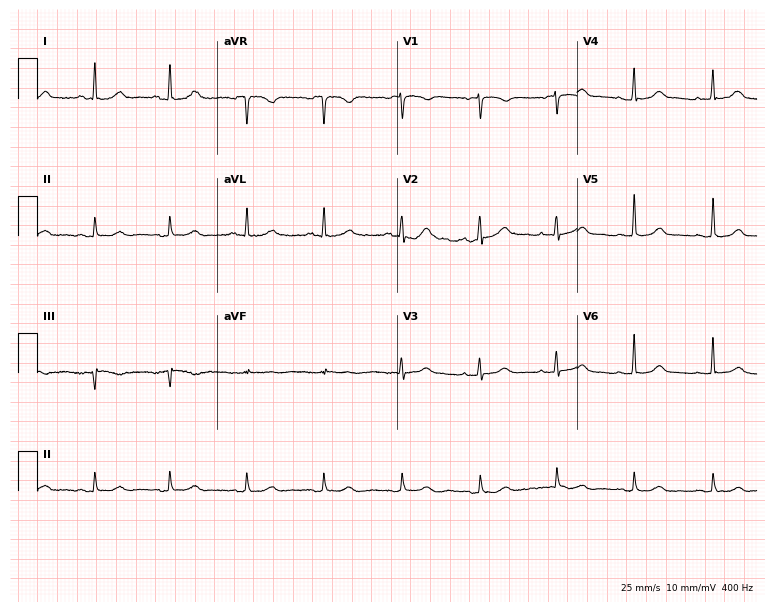
ECG (7.3-second recording at 400 Hz) — a female, 82 years old. Labelled as a normal ECG.